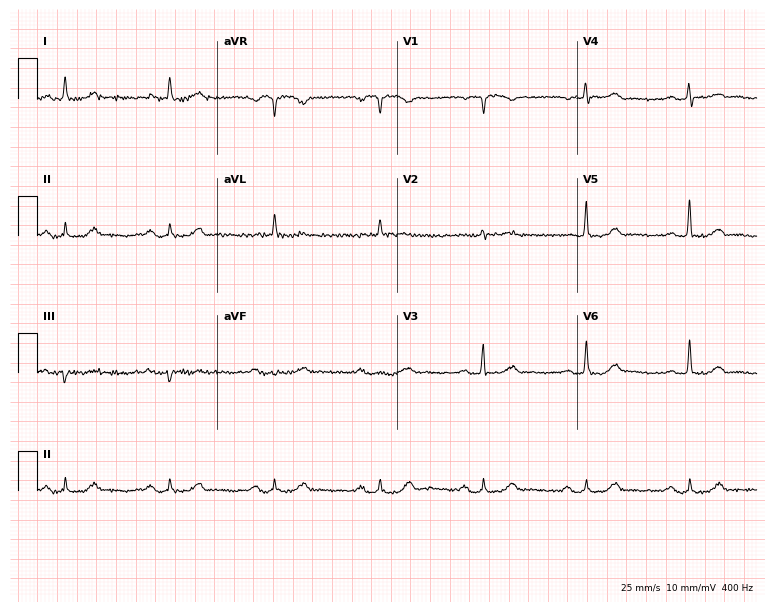
ECG — a 75-year-old male. Labelled as a normal ECG.